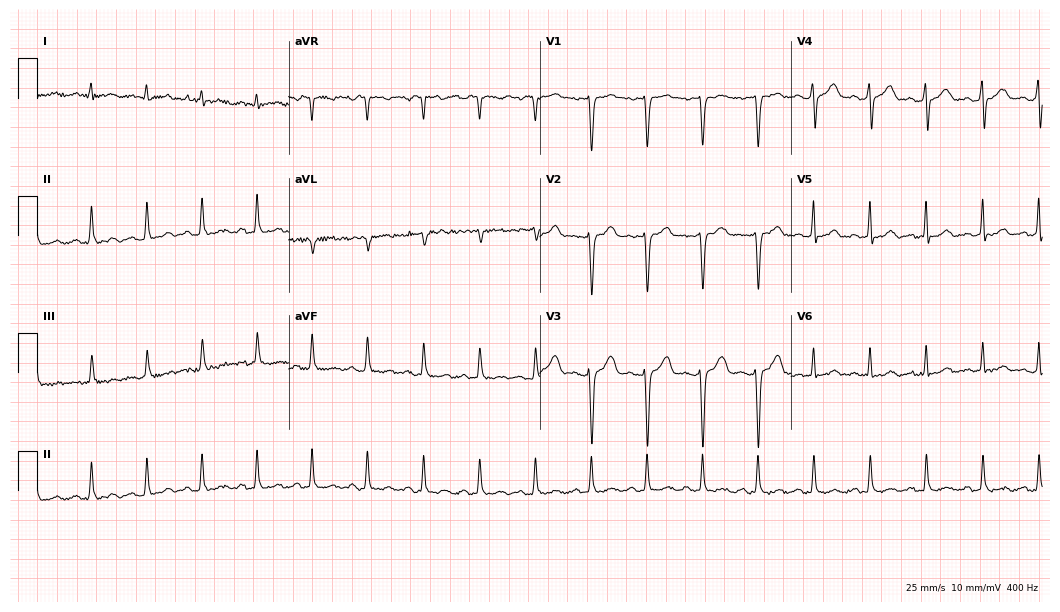
ECG — a 38-year-old woman. Screened for six findings — first-degree AV block, right bundle branch block, left bundle branch block, sinus bradycardia, atrial fibrillation, sinus tachycardia — none is recorded.